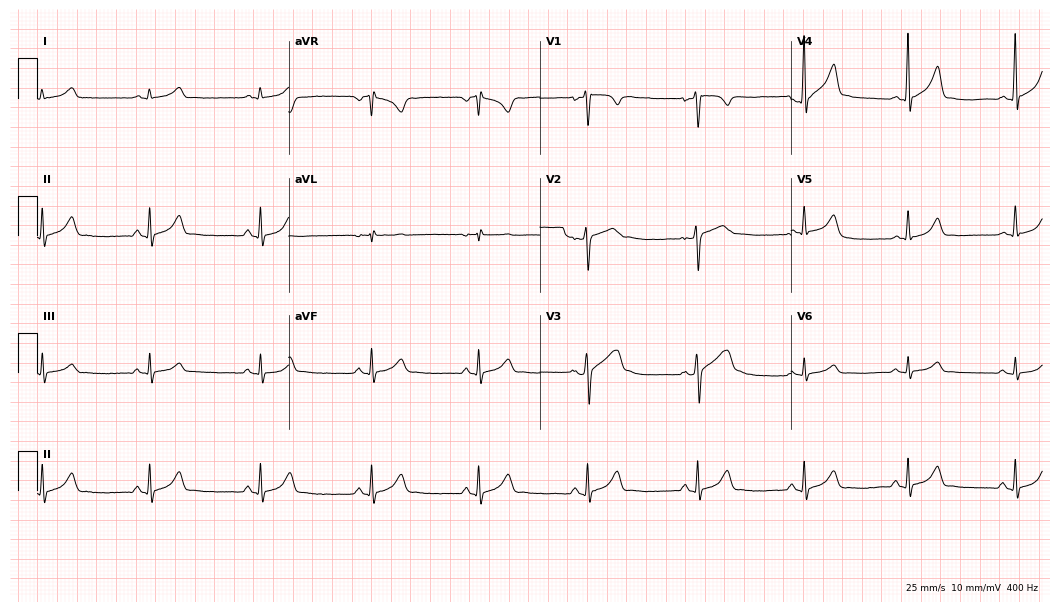
Electrocardiogram, a 39-year-old man. Of the six screened findings (first-degree AV block, right bundle branch block, left bundle branch block, sinus bradycardia, atrial fibrillation, sinus tachycardia), none is recorded.